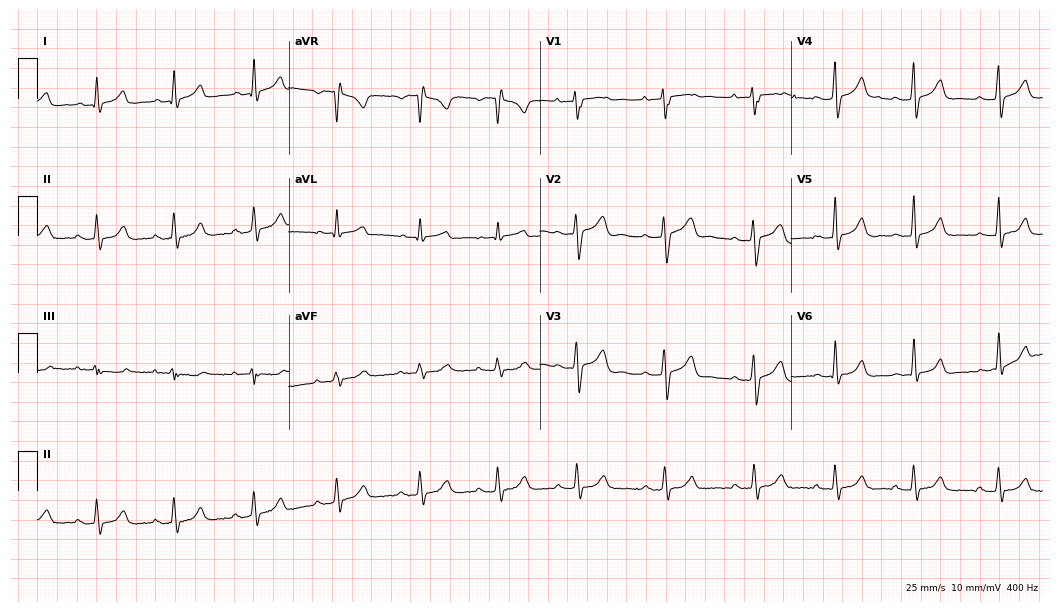
ECG (10.2-second recording at 400 Hz) — a 29-year-old woman. Screened for six findings — first-degree AV block, right bundle branch block, left bundle branch block, sinus bradycardia, atrial fibrillation, sinus tachycardia — none is recorded.